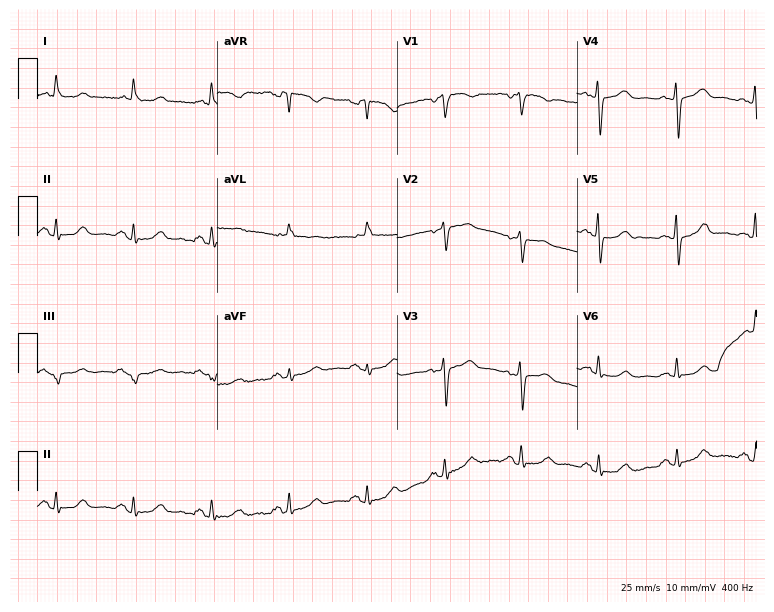
Standard 12-lead ECG recorded from a 66-year-old female (7.3-second recording at 400 Hz). None of these six findings is recorded: first-degree AV block, right bundle branch block, left bundle branch block, sinus bradycardia, atrial fibrillation, sinus tachycardia. Only these six findings were labelled.